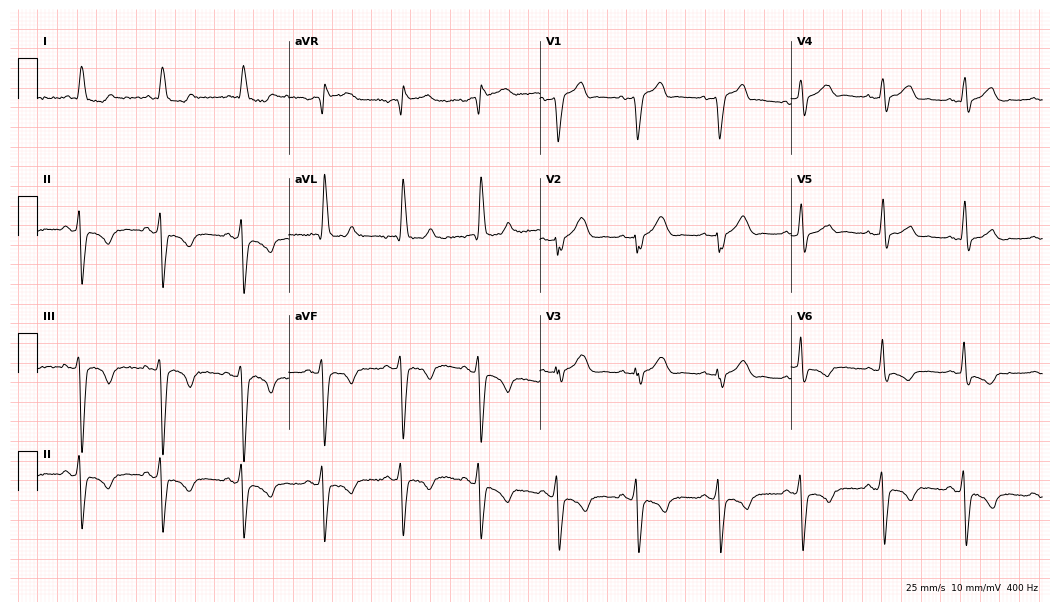
Electrocardiogram, a male, 66 years old. Of the six screened findings (first-degree AV block, right bundle branch block (RBBB), left bundle branch block (LBBB), sinus bradycardia, atrial fibrillation (AF), sinus tachycardia), none is recorded.